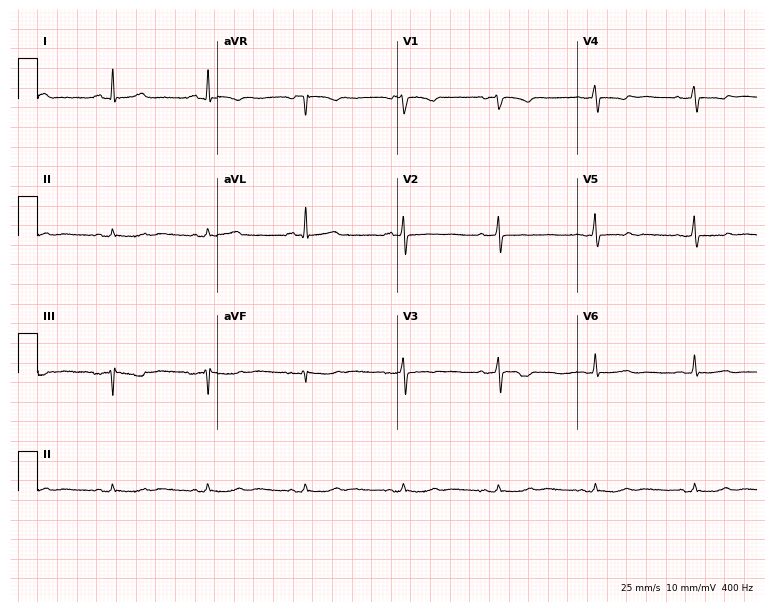
ECG — a 58-year-old woman. Screened for six findings — first-degree AV block, right bundle branch block (RBBB), left bundle branch block (LBBB), sinus bradycardia, atrial fibrillation (AF), sinus tachycardia — none is recorded.